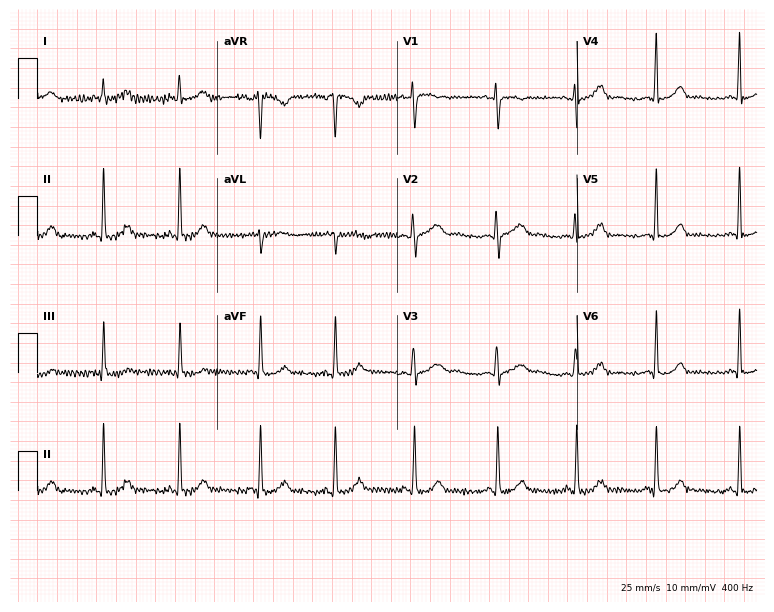
Resting 12-lead electrocardiogram (7.3-second recording at 400 Hz). Patient: a female, 28 years old. None of these six findings is recorded: first-degree AV block, right bundle branch block, left bundle branch block, sinus bradycardia, atrial fibrillation, sinus tachycardia. Findings outside these six are not listed.